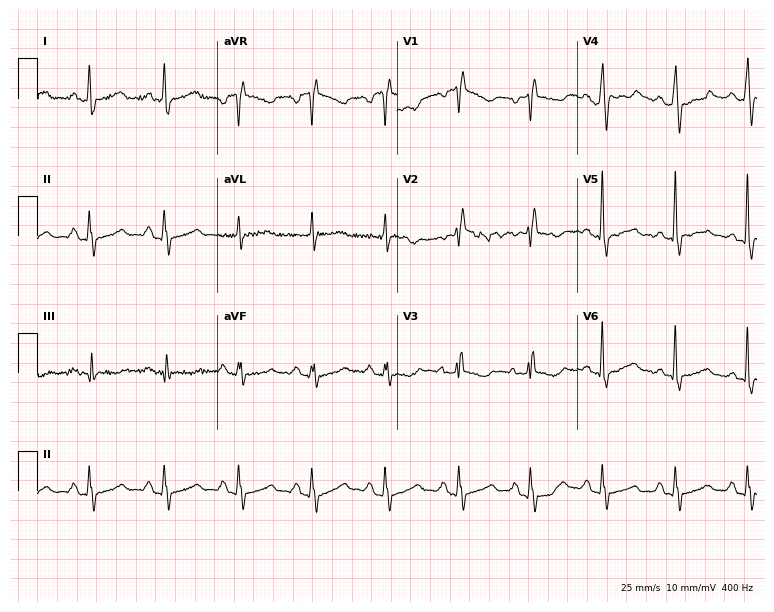
Electrocardiogram (7.3-second recording at 400 Hz), a female patient, 44 years old. Of the six screened findings (first-degree AV block, right bundle branch block, left bundle branch block, sinus bradycardia, atrial fibrillation, sinus tachycardia), none is recorded.